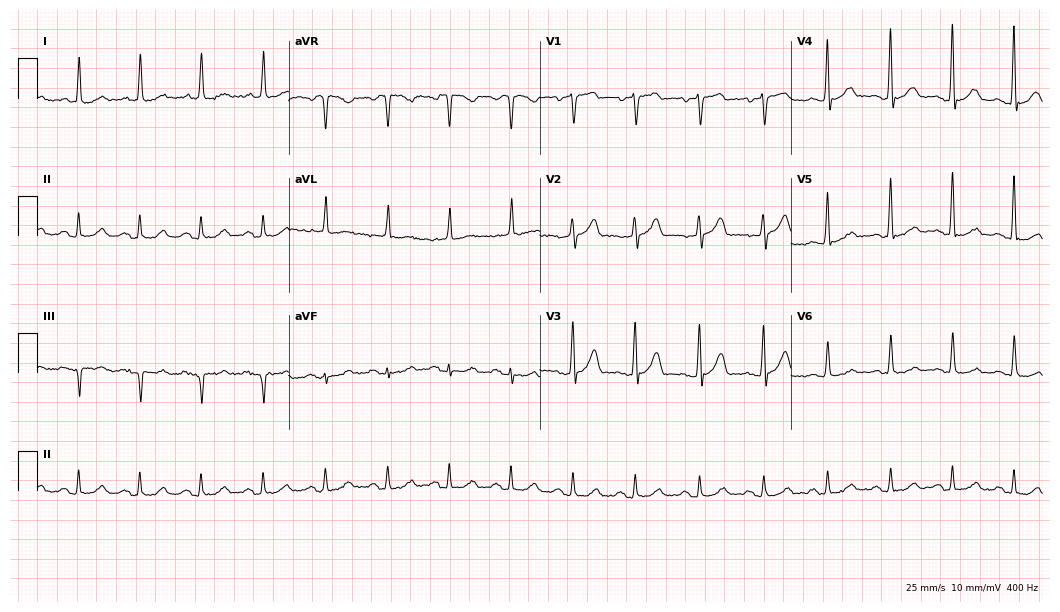
Resting 12-lead electrocardiogram (10.2-second recording at 400 Hz). Patient: a 56-year-old male. None of these six findings is recorded: first-degree AV block, right bundle branch block, left bundle branch block, sinus bradycardia, atrial fibrillation, sinus tachycardia.